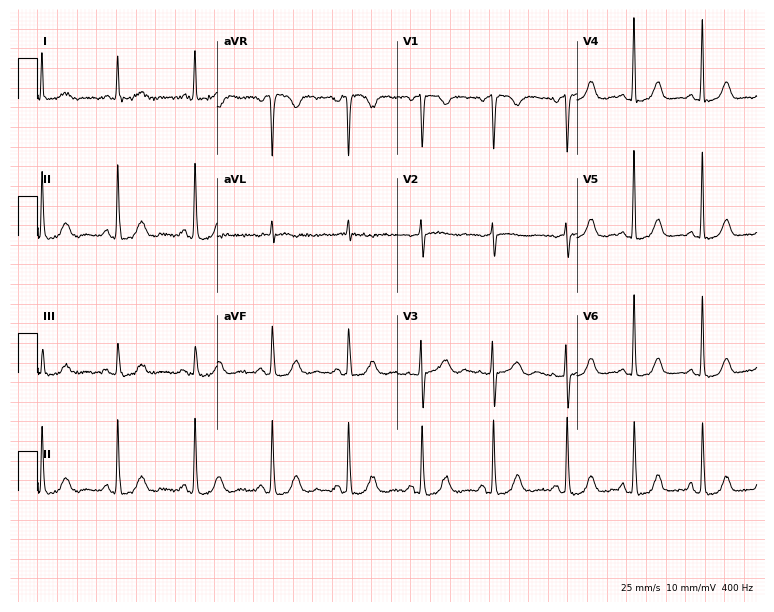
12-lead ECG (7.3-second recording at 400 Hz) from an 80-year-old female. Labelled as a normal ECG.